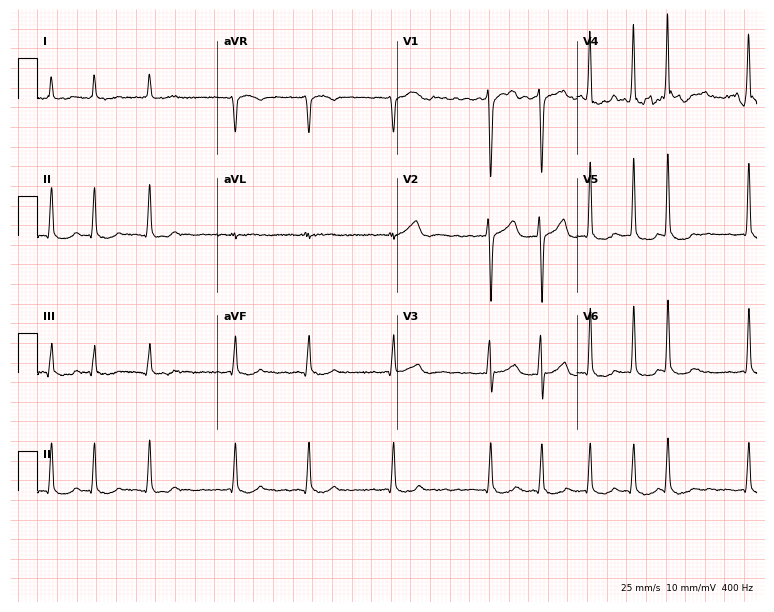
12-lead ECG (7.3-second recording at 400 Hz) from a 68-year-old man. Findings include atrial fibrillation (AF).